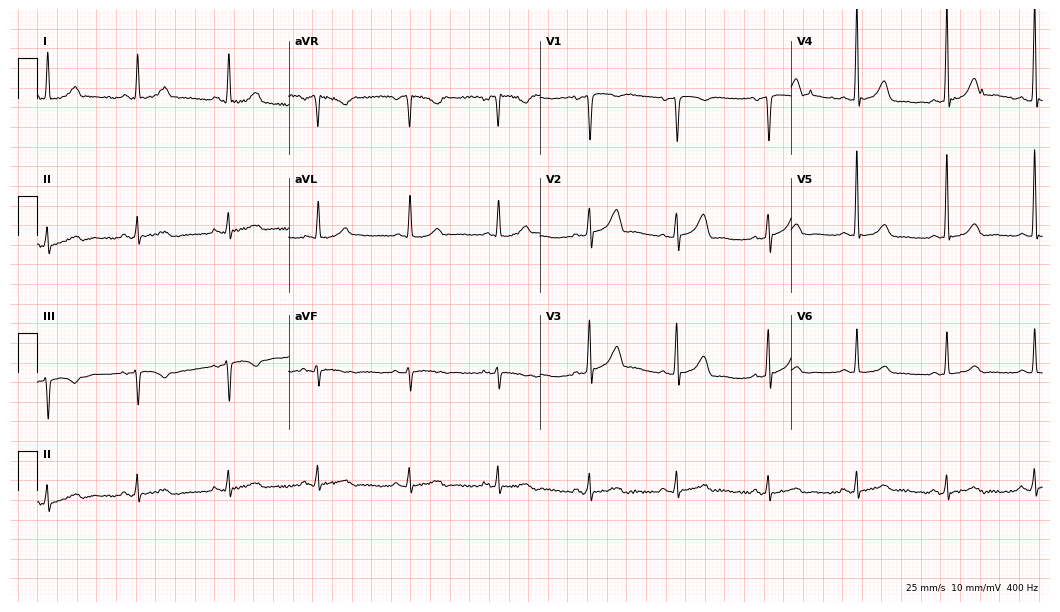
12-lead ECG (10.2-second recording at 400 Hz) from a 50-year-old woman. Labelled as a normal ECG.